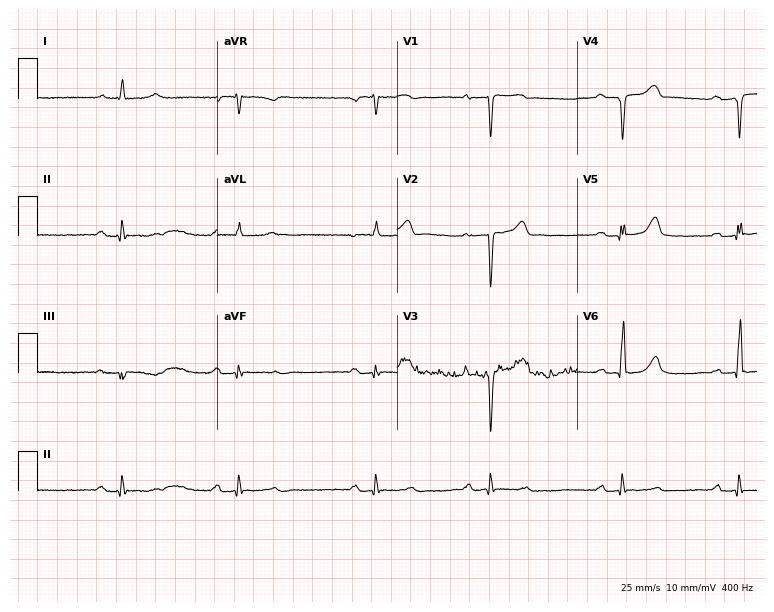
12-lead ECG (7.3-second recording at 400 Hz) from a 79-year-old male. Findings include first-degree AV block, right bundle branch block, sinus bradycardia (a sinus rate of 50 beats per minute or less).